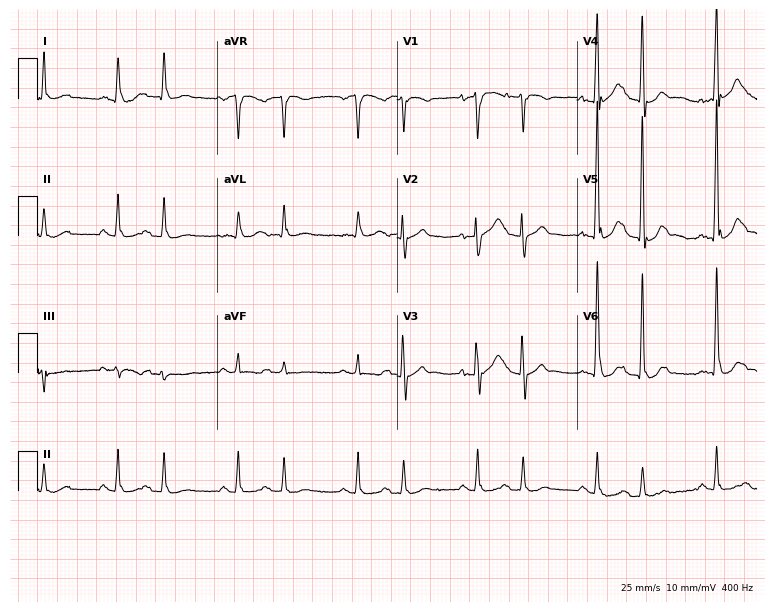
Resting 12-lead electrocardiogram (7.3-second recording at 400 Hz). Patient: a man, 72 years old. None of these six findings is recorded: first-degree AV block, right bundle branch block, left bundle branch block, sinus bradycardia, atrial fibrillation, sinus tachycardia. Other findings, if any, are not listed.